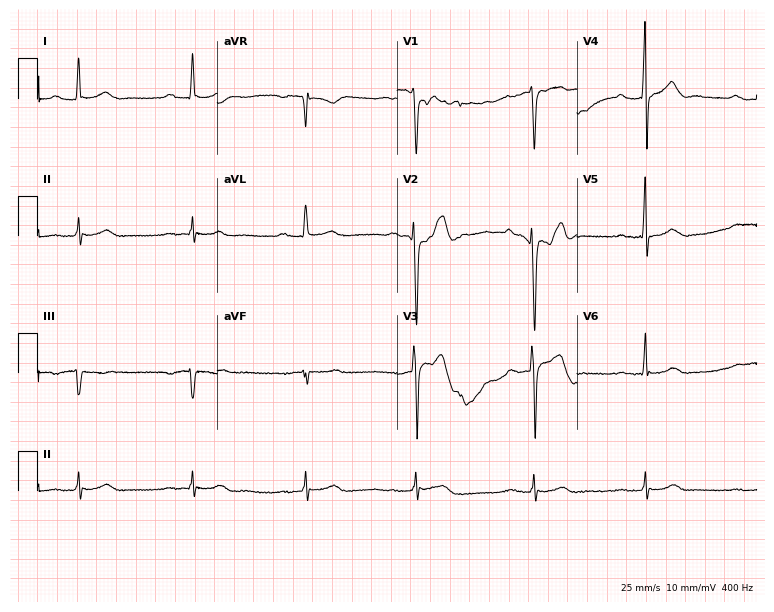
ECG (7.3-second recording at 400 Hz) — a 50-year-old male patient. Screened for six findings — first-degree AV block, right bundle branch block, left bundle branch block, sinus bradycardia, atrial fibrillation, sinus tachycardia — none is recorded. Only these six findings were labelled.